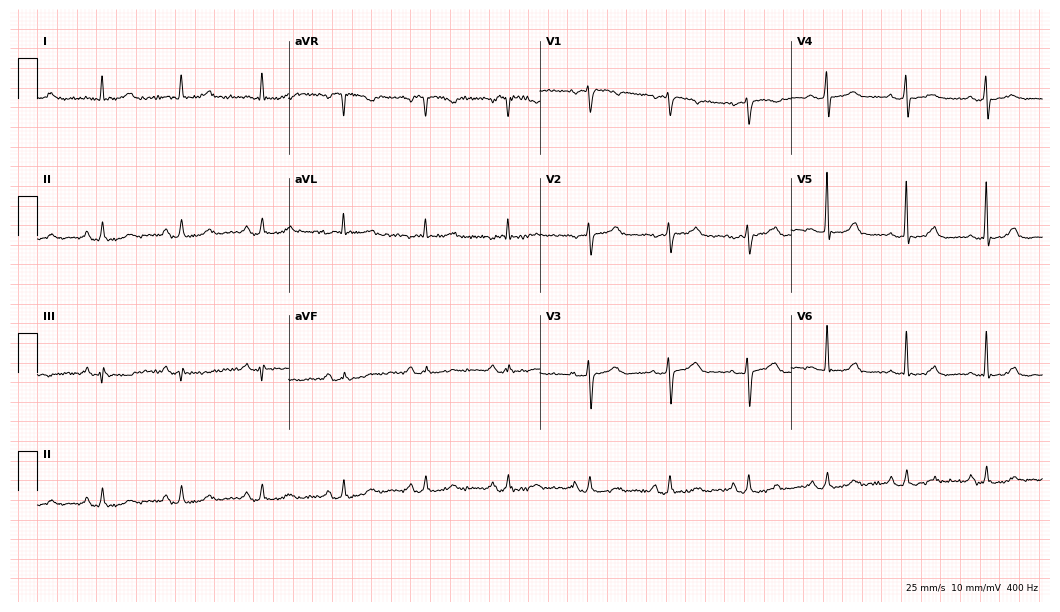
Resting 12-lead electrocardiogram. Patient: a 73-year-old female. None of these six findings is recorded: first-degree AV block, right bundle branch block, left bundle branch block, sinus bradycardia, atrial fibrillation, sinus tachycardia. Only these six findings were labelled.